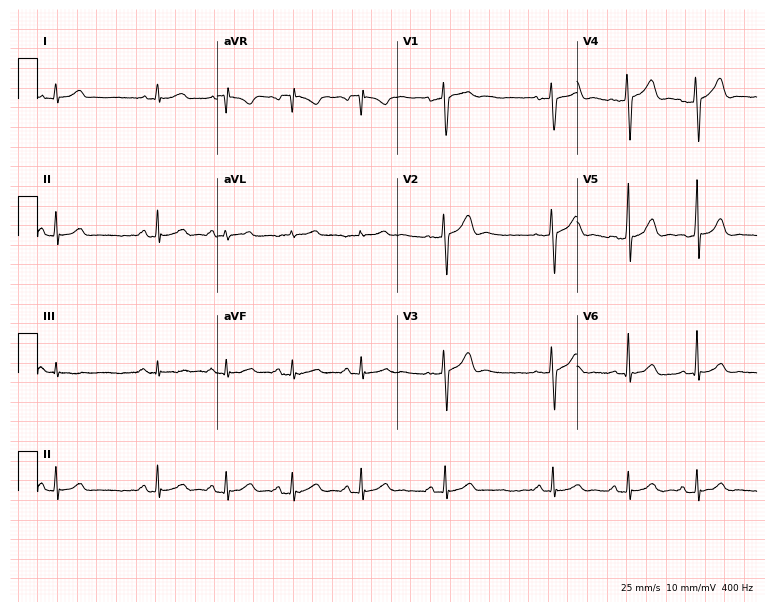
Resting 12-lead electrocardiogram. Patient: a 23-year-old male. Read as a normal ECG.